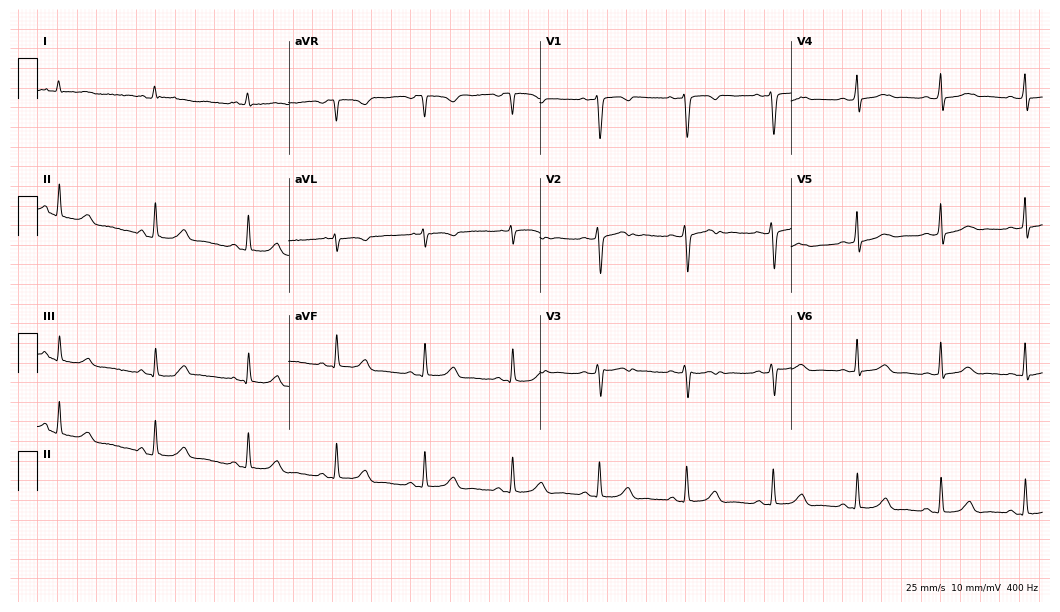
Standard 12-lead ECG recorded from a female patient, 26 years old. None of these six findings is recorded: first-degree AV block, right bundle branch block (RBBB), left bundle branch block (LBBB), sinus bradycardia, atrial fibrillation (AF), sinus tachycardia.